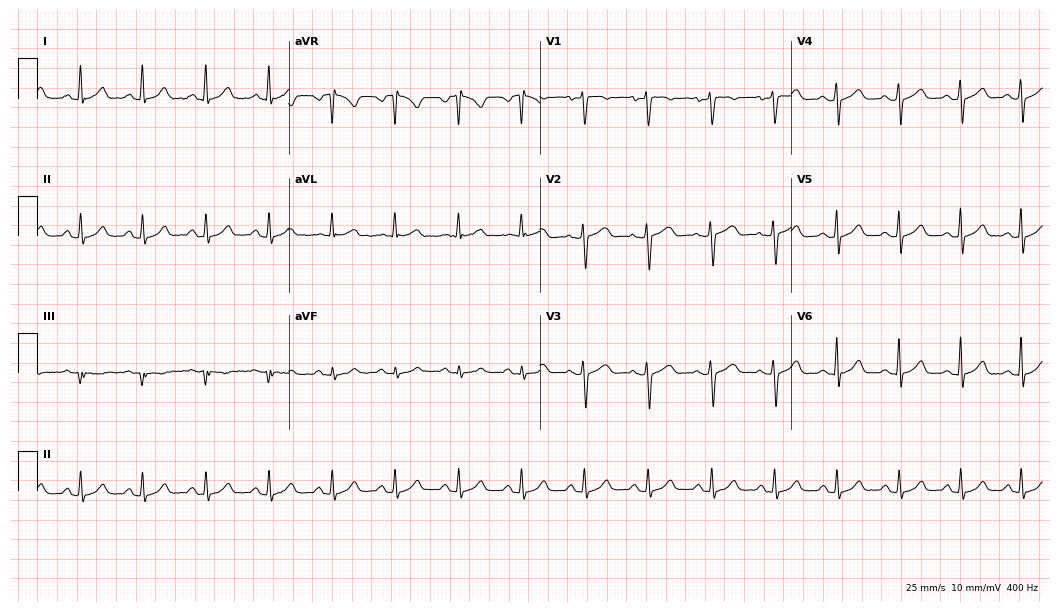
ECG (10.2-second recording at 400 Hz) — a woman, 37 years old. Labelled as a normal ECG.